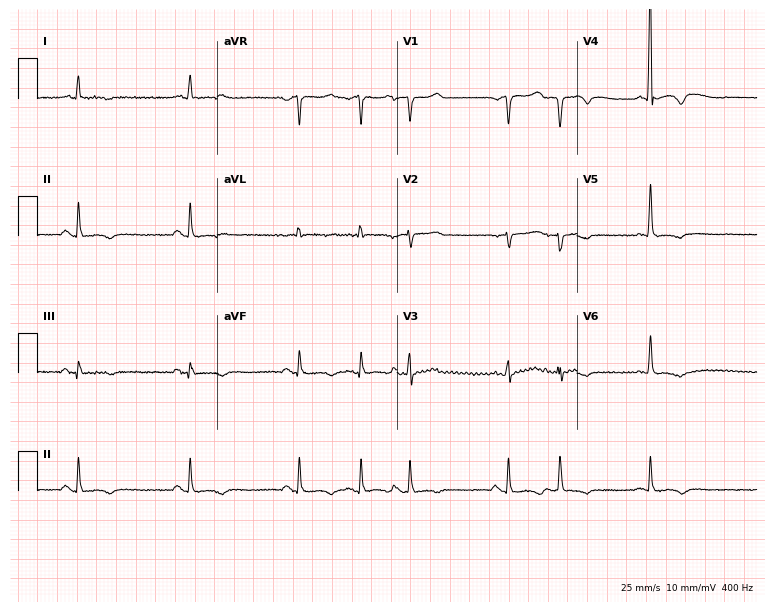
12-lead ECG from a man, 74 years old (7.3-second recording at 400 Hz). No first-degree AV block, right bundle branch block (RBBB), left bundle branch block (LBBB), sinus bradycardia, atrial fibrillation (AF) or sinus tachycardia recorded for this tracing.